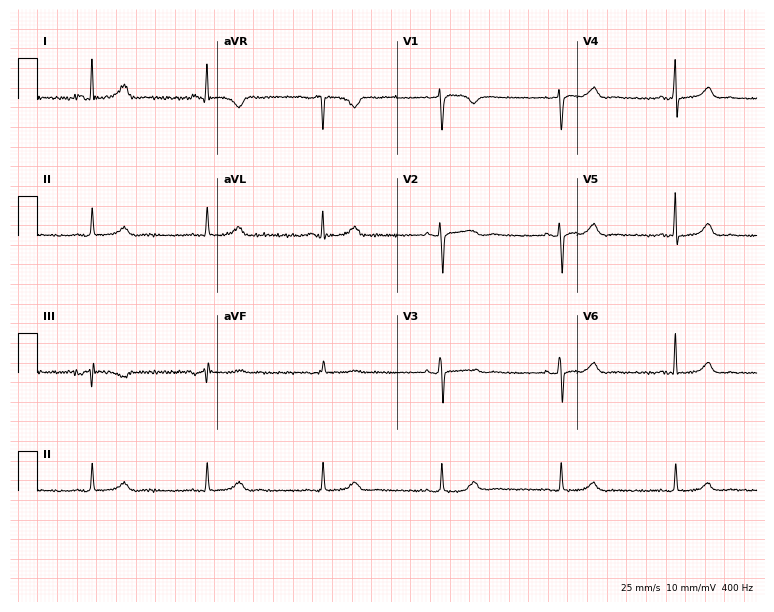
Resting 12-lead electrocardiogram (7.3-second recording at 400 Hz). Patient: a 62-year-old female. Read as a normal ECG.